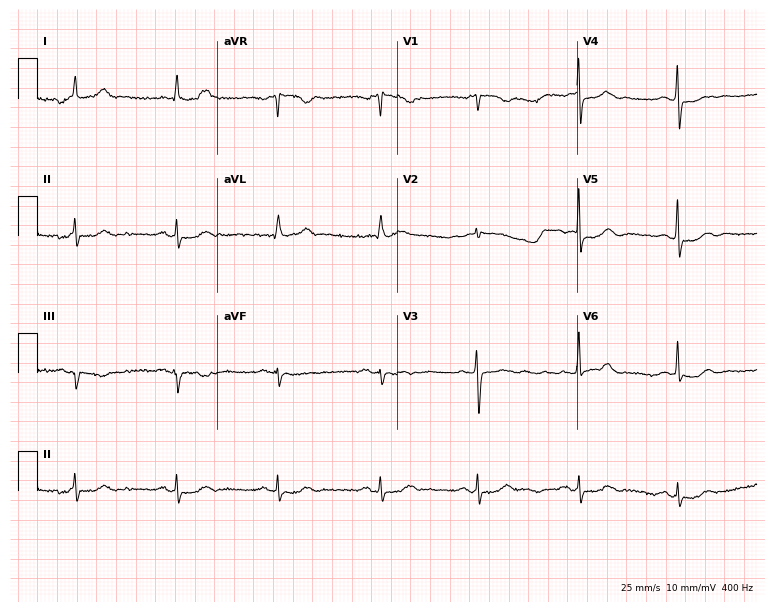
ECG (7.3-second recording at 400 Hz) — a woman, 62 years old. Labelled as a normal ECG.